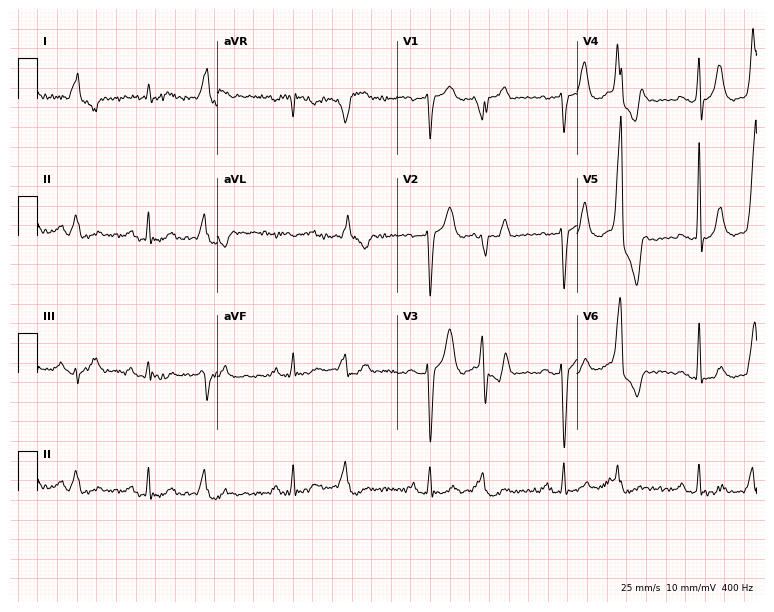
Resting 12-lead electrocardiogram. Patient: a male, 70 years old. None of these six findings is recorded: first-degree AV block, right bundle branch block, left bundle branch block, sinus bradycardia, atrial fibrillation, sinus tachycardia. Other findings, if any, are not listed.